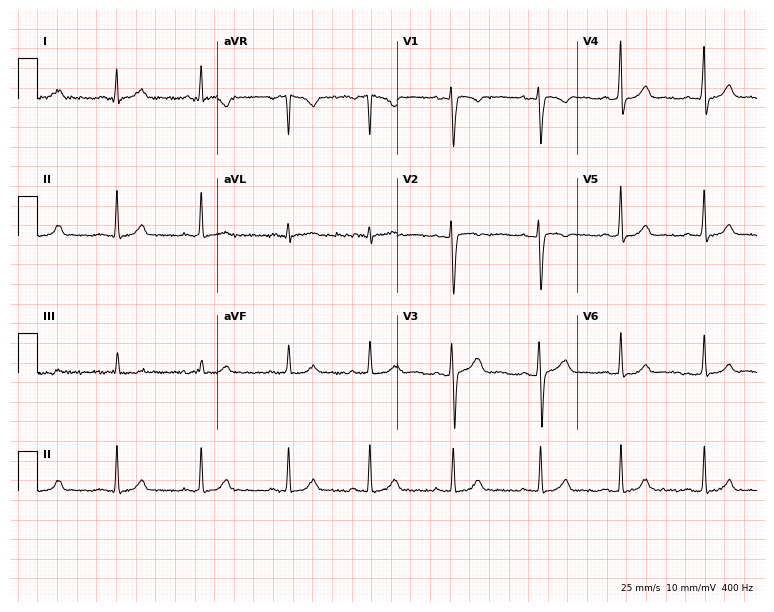
Resting 12-lead electrocardiogram. Patient: a female, 31 years old. Read as a normal ECG.